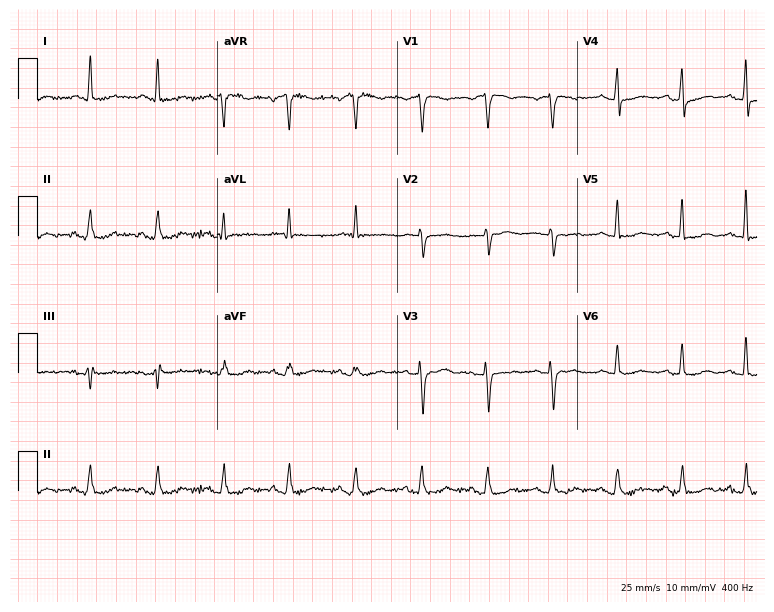
12-lead ECG from a woman, 75 years old. No first-degree AV block, right bundle branch block, left bundle branch block, sinus bradycardia, atrial fibrillation or sinus tachycardia recorded for this tracing. Findings outside these six are not listed.